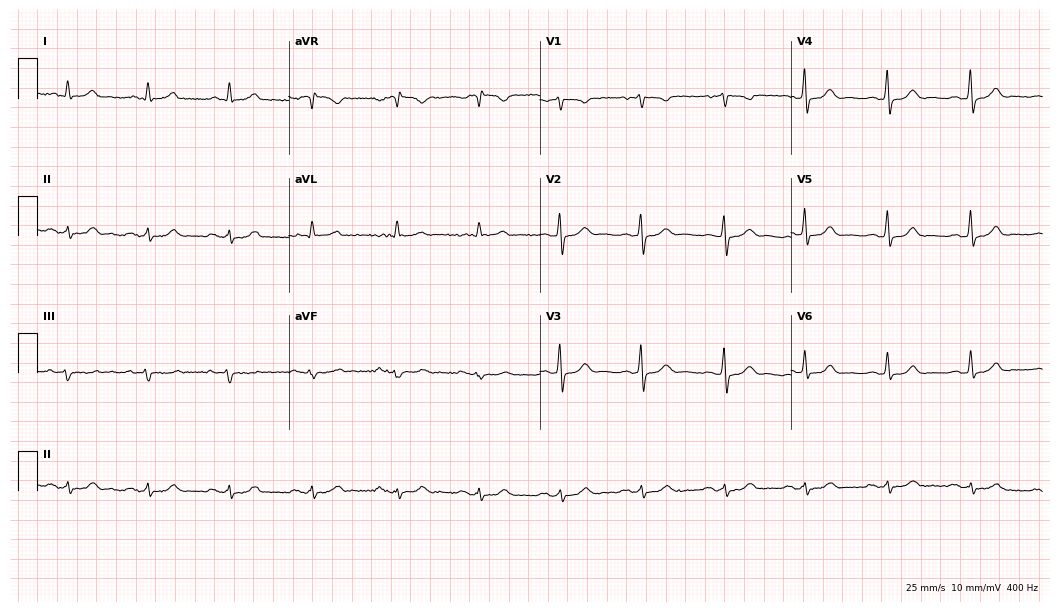
12-lead ECG from a 66-year-old male. Recorded interpretation: within normal limits.